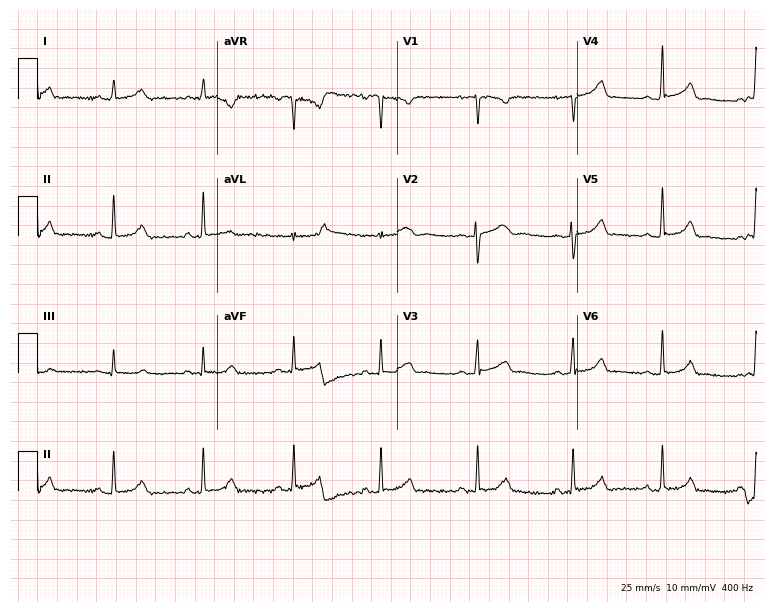
Resting 12-lead electrocardiogram. Patient: a 17-year-old woman. Read as a normal ECG.